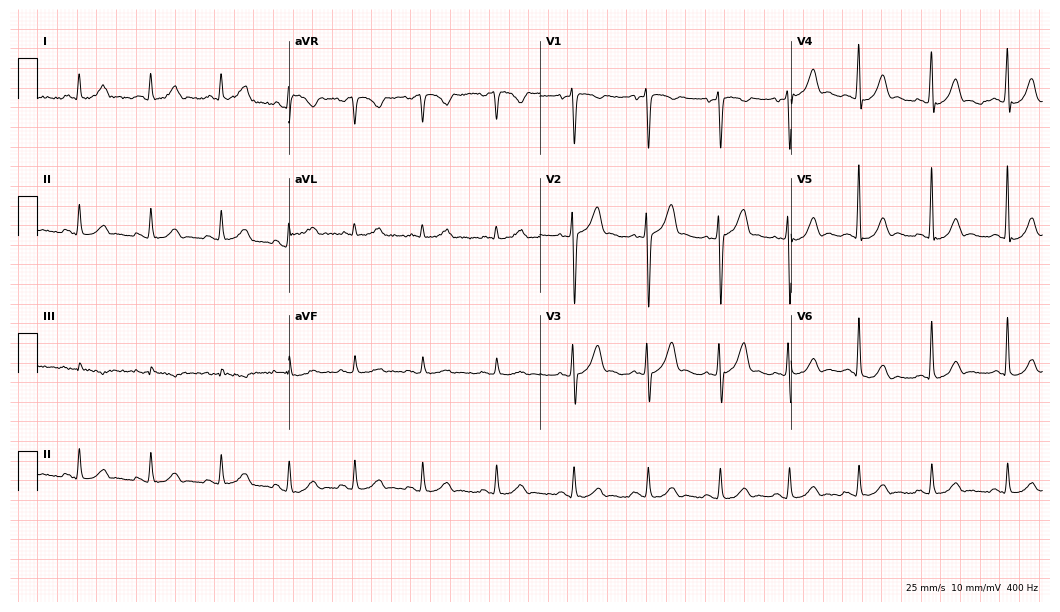
12-lead ECG from a 42-year-old male. Labelled as a normal ECG.